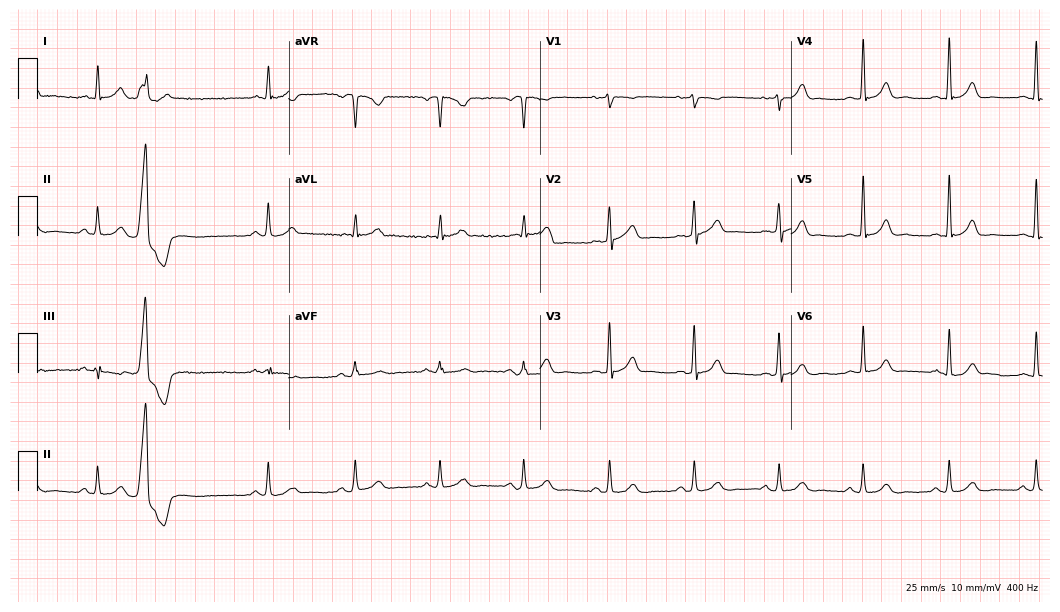
12-lead ECG from a 69-year-old male patient. Recorded interpretation: within normal limits.